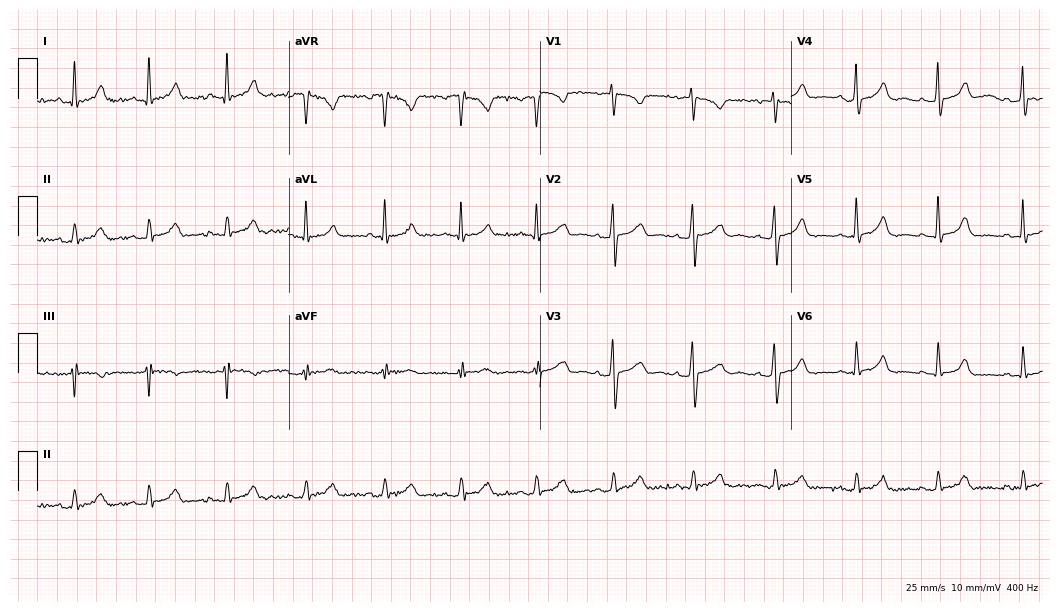
12-lead ECG from a woman, 31 years old. Labelled as a normal ECG.